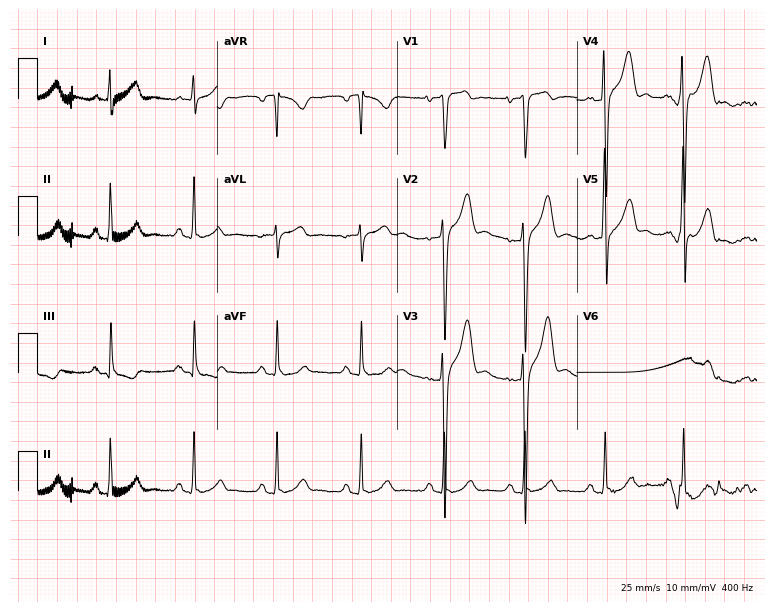
12-lead ECG from a male patient, 28 years old (7.3-second recording at 400 Hz). Recorded interpretation: within normal limits.